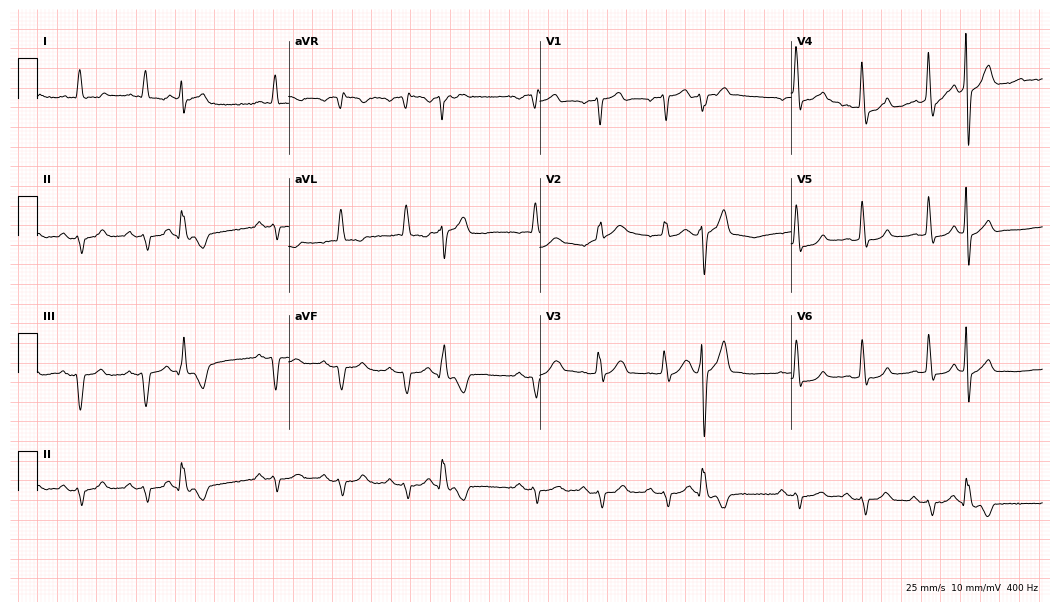
12-lead ECG (10.2-second recording at 400 Hz) from a male patient, 64 years old. Screened for six findings — first-degree AV block, right bundle branch block, left bundle branch block, sinus bradycardia, atrial fibrillation, sinus tachycardia — none is recorded. Only these six findings were labelled.